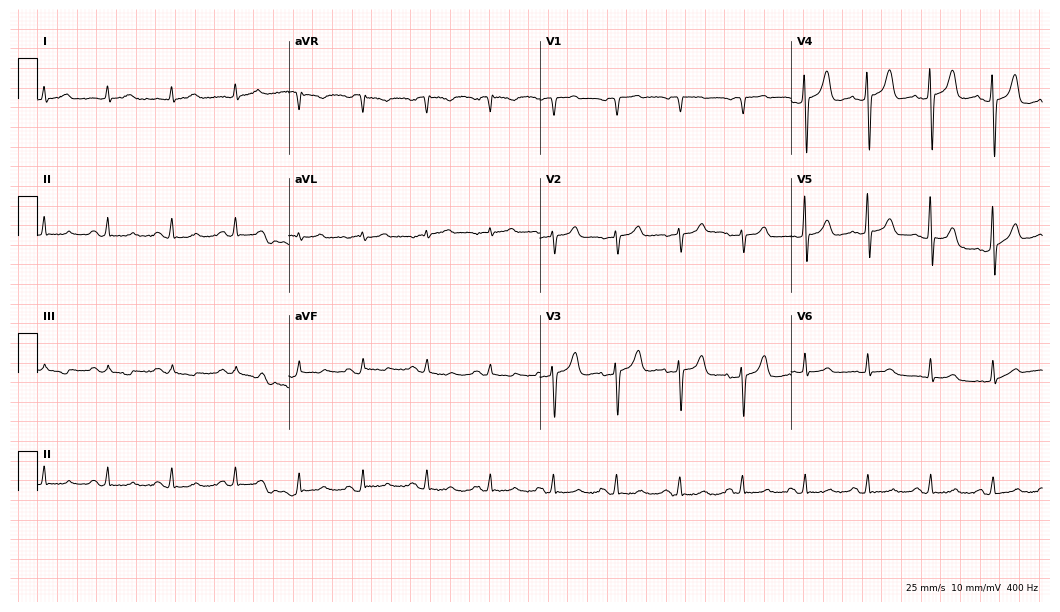
Resting 12-lead electrocardiogram (10.2-second recording at 400 Hz). Patient: a male, 84 years old. None of these six findings is recorded: first-degree AV block, right bundle branch block, left bundle branch block, sinus bradycardia, atrial fibrillation, sinus tachycardia. Findings outside these six are not listed.